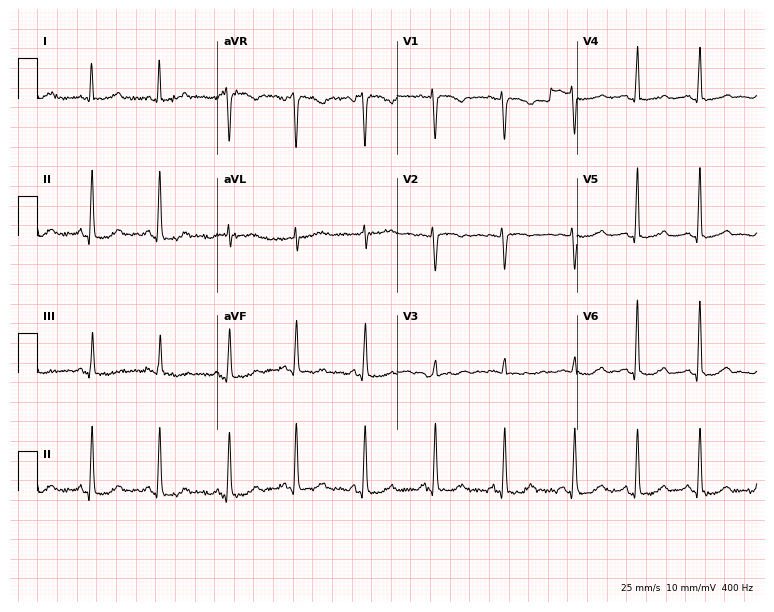
12-lead ECG (7.3-second recording at 400 Hz) from a 57-year-old female. Labelled as a normal ECG.